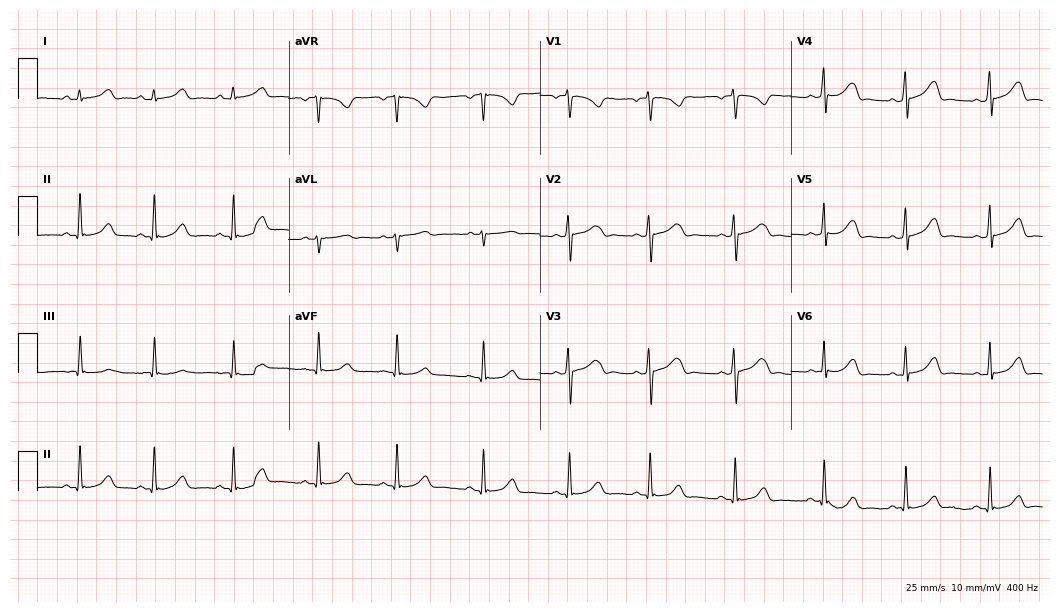
12-lead ECG from a 20-year-old female patient. Labelled as a normal ECG.